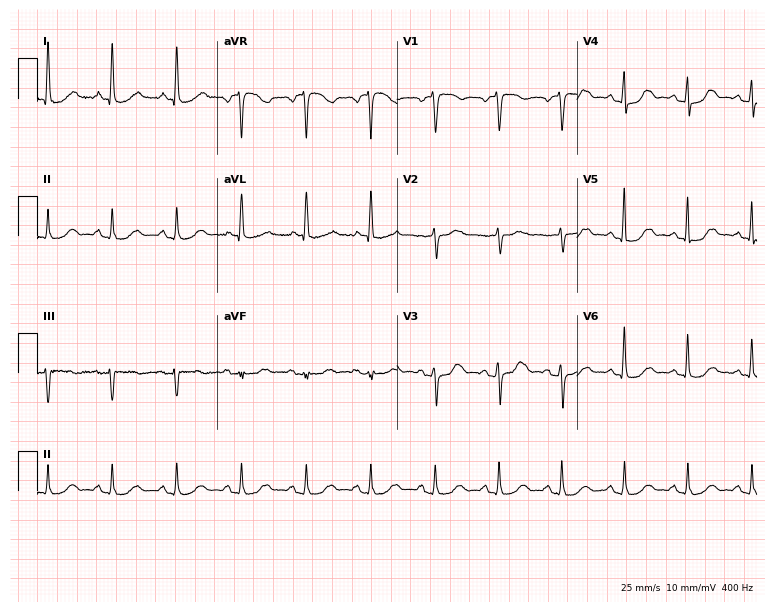
Resting 12-lead electrocardiogram. Patient: a 66-year-old female. None of these six findings is recorded: first-degree AV block, right bundle branch block, left bundle branch block, sinus bradycardia, atrial fibrillation, sinus tachycardia. Findings outside these six are not listed.